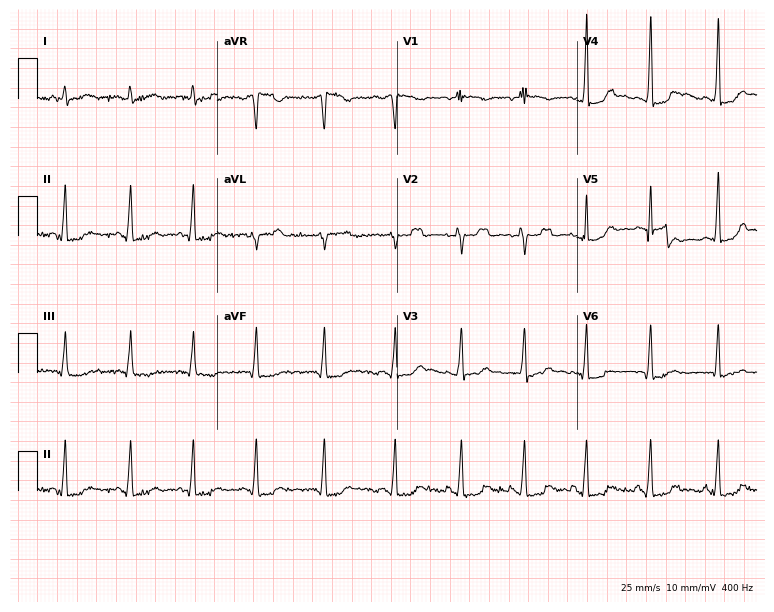
Resting 12-lead electrocardiogram (7.3-second recording at 400 Hz). Patient: a woman, 31 years old. None of these six findings is recorded: first-degree AV block, right bundle branch block, left bundle branch block, sinus bradycardia, atrial fibrillation, sinus tachycardia. Findings outside these six are not listed.